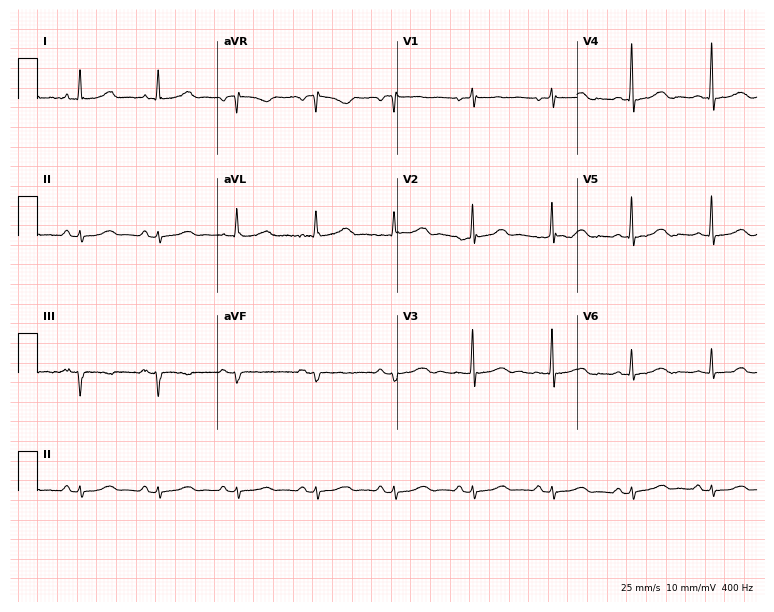
Resting 12-lead electrocardiogram (7.3-second recording at 400 Hz). Patient: a 78-year-old woman. None of these six findings is recorded: first-degree AV block, right bundle branch block, left bundle branch block, sinus bradycardia, atrial fibrillation, sinus tachycardia.